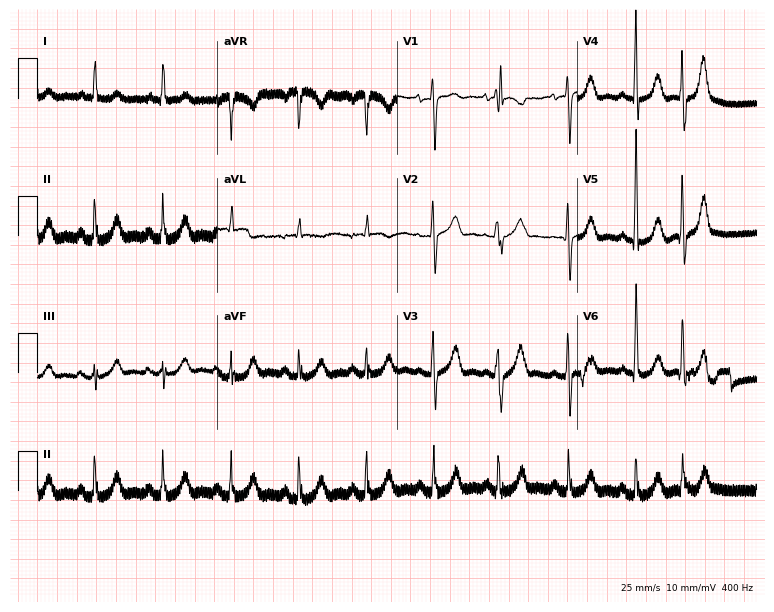
Standard 12-lead ECG recorded from a woman, 81 years old. Read as a normal ECG.